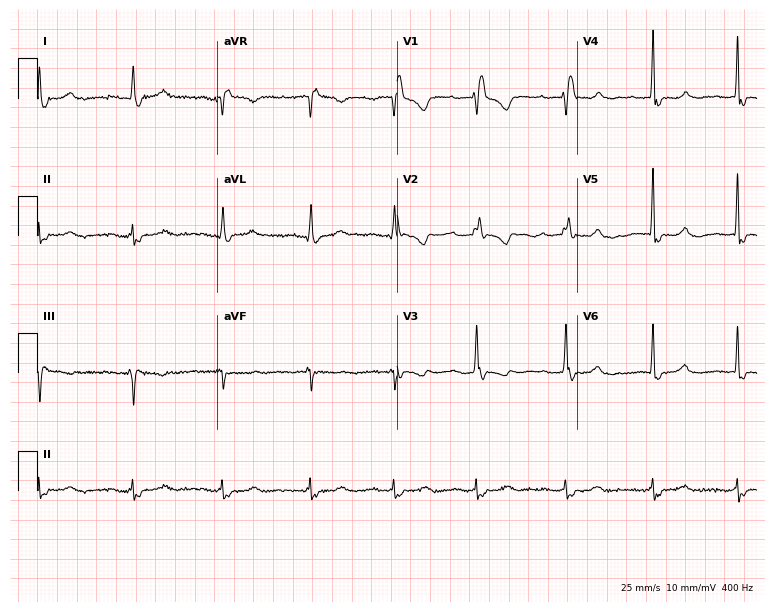
Electrocardiogram (7.3-second recording at 400 Hz), a female patient, 51 years old. Of the six screened findings (first-degree AV block, right bundle branch block (RBBB), left bundle branch block (LBBB), sinus bradycardia, atrial fibrillation (AF), sinus tachycardia), none is recorded.